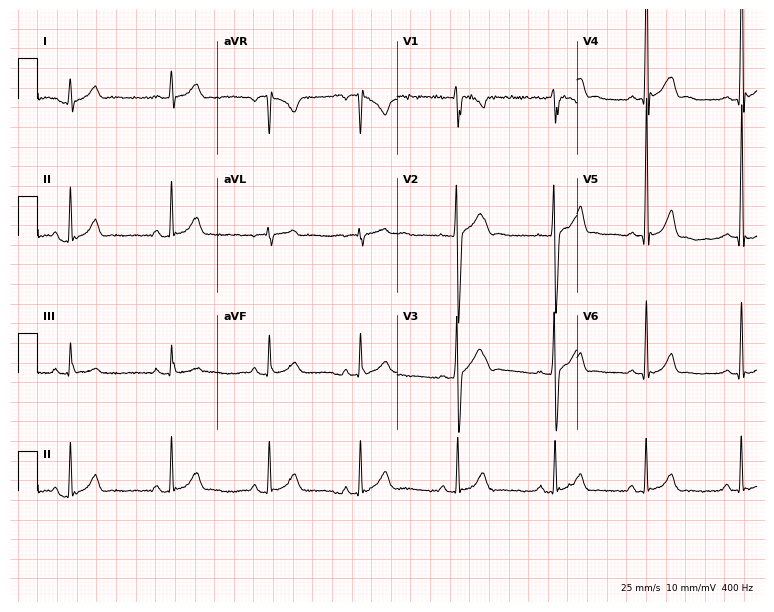
12-lead ECG from a 19-year-old man (7.3-second recording at 400 Hz). Recorded interpretation: within normal limits.